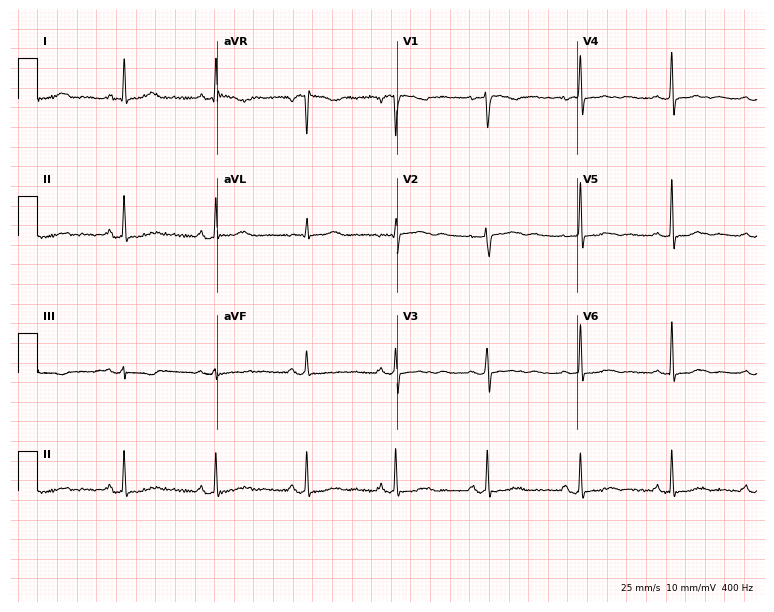
Standard 12-lead ECG recorded from a female patient, 52 years old (7.3-second recording at 400 Hz). None of these six findings is recorded: first-degree AV block, right bundle branch block, left bundle branch block, sinus bradycardia, atrial fibrillation, sinus tachycardia. Only these six findings were labelled.